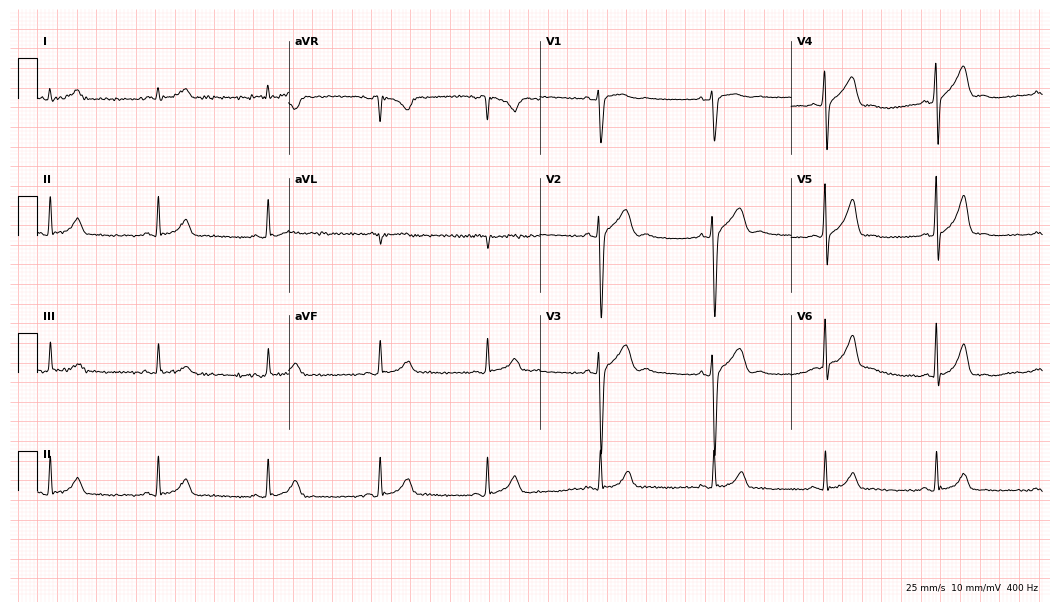
Standard 12-lead ECG recorded from a male patient, 44 years old. Read as a normal ECG.